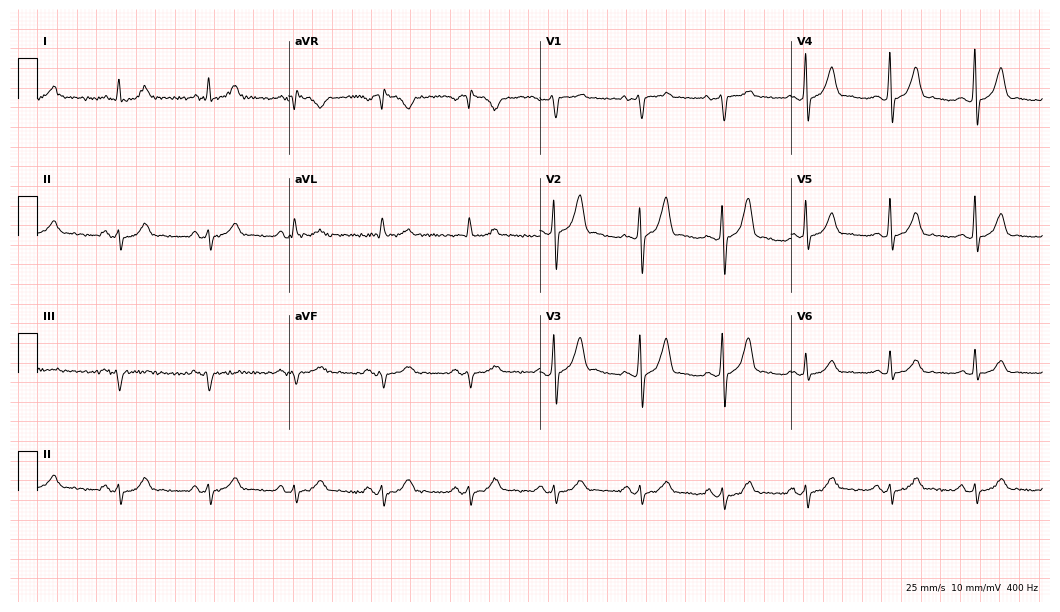
Resting 12-lead electrocardiogram (10.2-second recording at 400 Hz). Patient: a 48-year-old man. None of these six findings is recorded: first-degree AV block, right bundle branch block, left bundle branch block, sinus bradycardia, atrial fibrillation, sinus tachycardia.